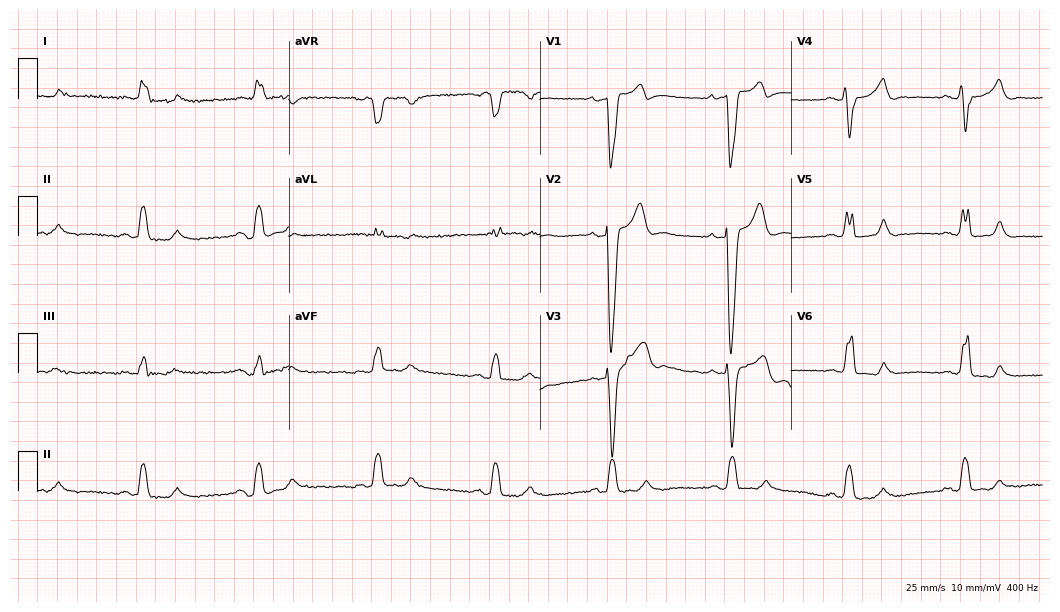
ECG — a 73-year-old male. Findings include left bundle branch block, sinus bradycardia (a sinus rate of 50 beats per minute or less).